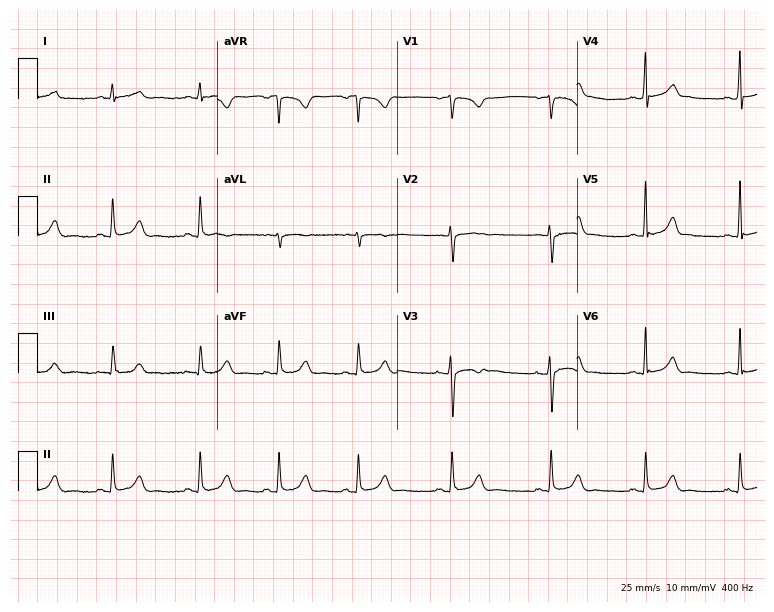
12-lead ECG from a 22-year-old female (7.3-second recording at 400 Hz). Recorded interpretation: within normal limits.